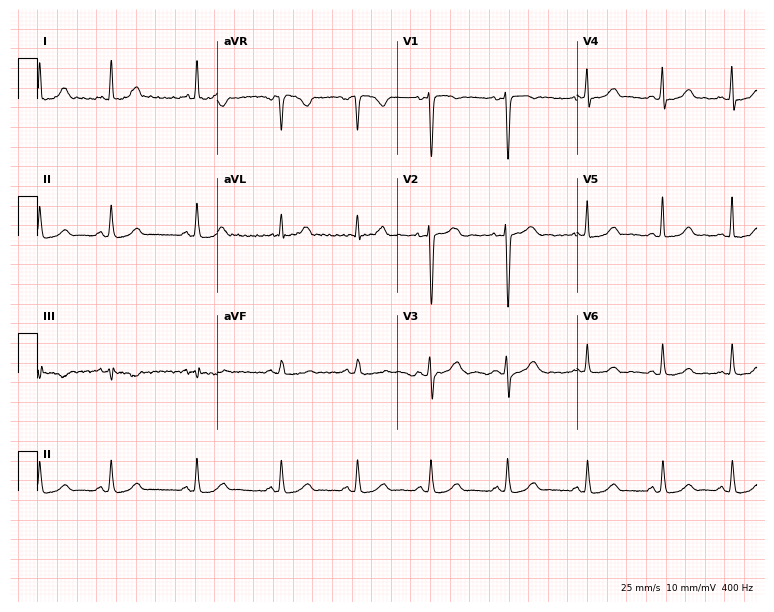
ECG (7.3-second recording at 400 Hz) — a 44-year-old female. Labelled as a normal ECG.